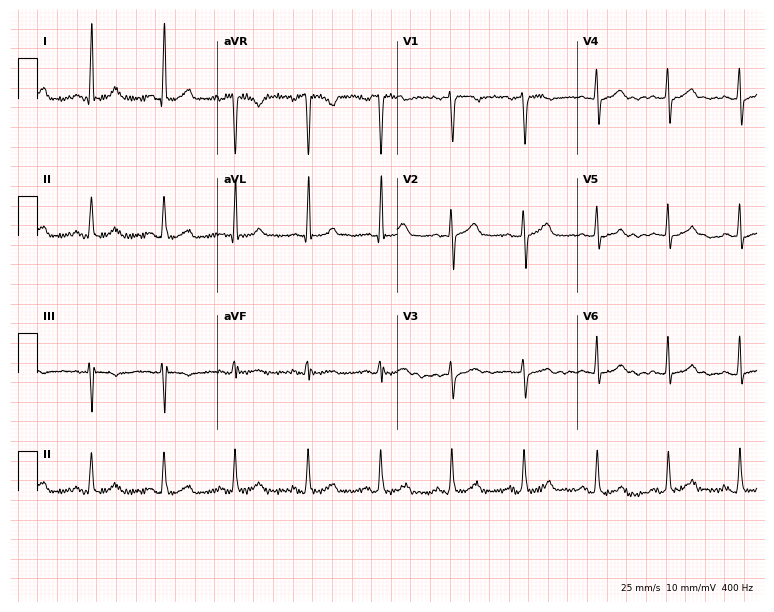
Standard 12-lead ECG recorded from a woman, 46 years old (7.3-second recording at 400 Hz). Read as a normal ECG.